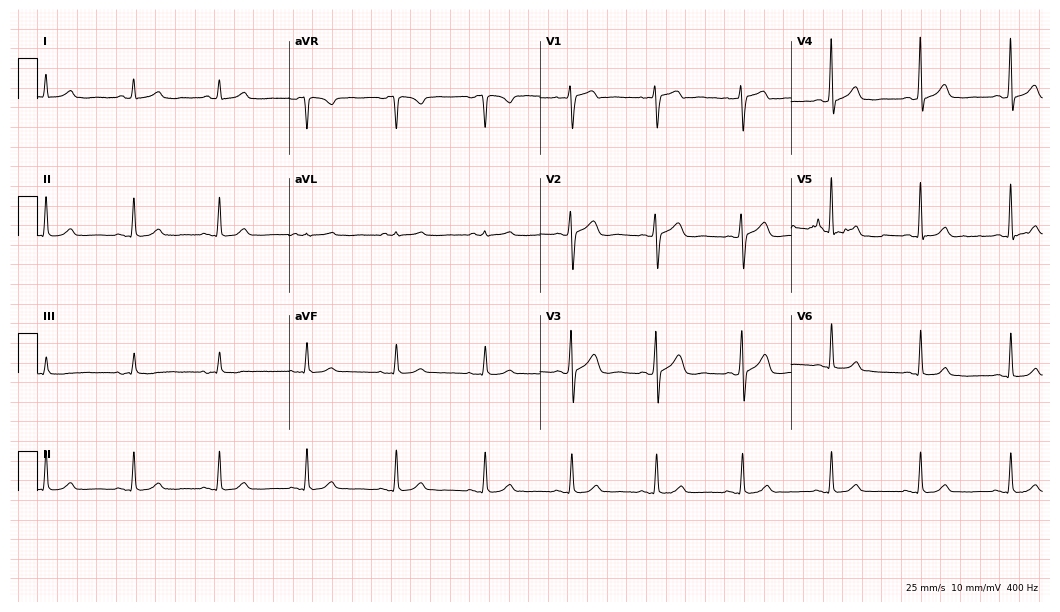
12-lead ECG from a female, 54 years old. Labelled as a normal ECG.